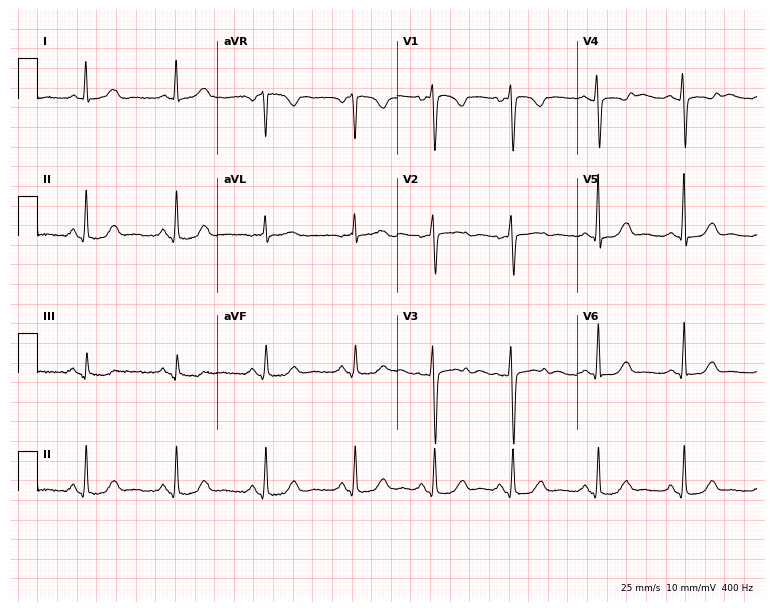
Electrocardiogram, a female patient, 38 years old. Of the six screened findings (first-degree AV block, right bundle branch block, left bundle branch block, sinus bradycardia, atrial fibrillation, sinus tachycardia), none is recorded.